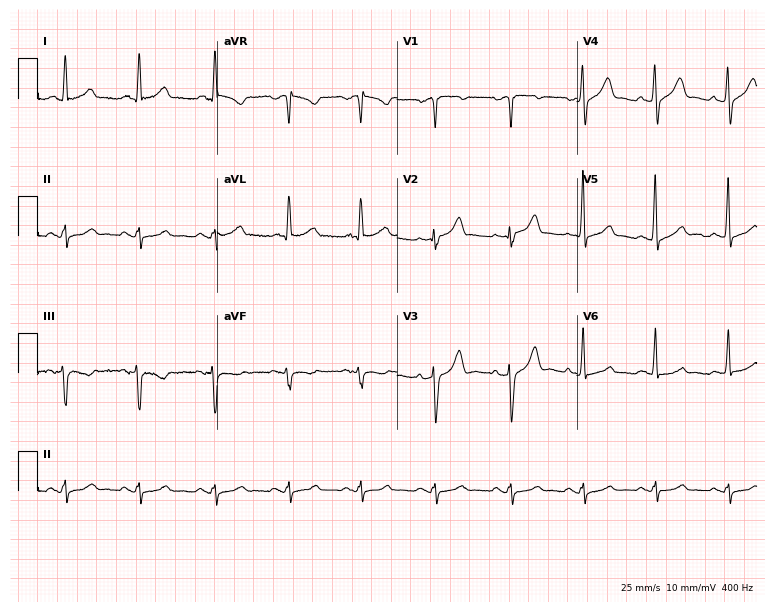
ECG (7.3-second recording at 400 Hz) — a 60-year-old male. Screened for six findings — first-degree AV block, right bundle branch block (RBBB), left bundle branch block (LBBB), sinus bradycardia, atrial fibrillation (AF), sinus tachycardia — none is recorded. Findings outside these six are not listed.